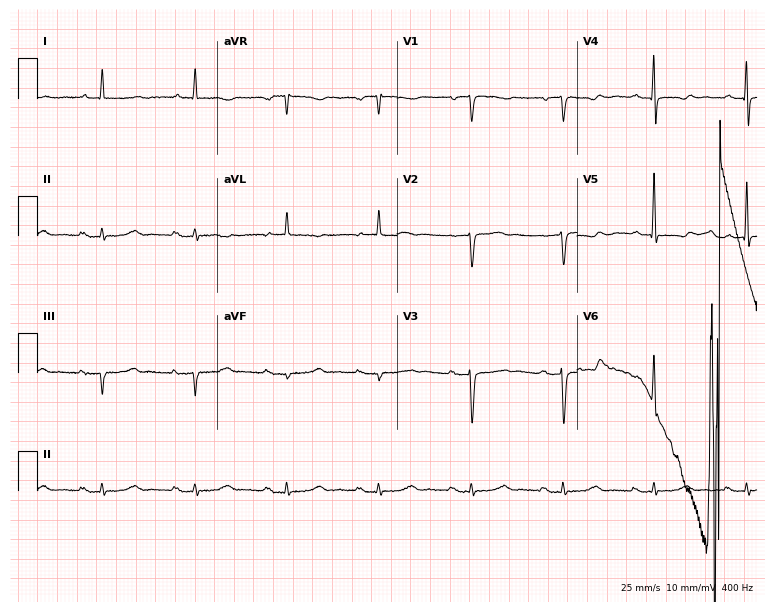
Standard 12-lead ECG recorded from a 73-year-old female (7.3-second recording at 400 Hz). The tracing shows first-degree AV block, right bundle branch block, sinus bradycardia (a sinus rate of 50 beats per minute or less).